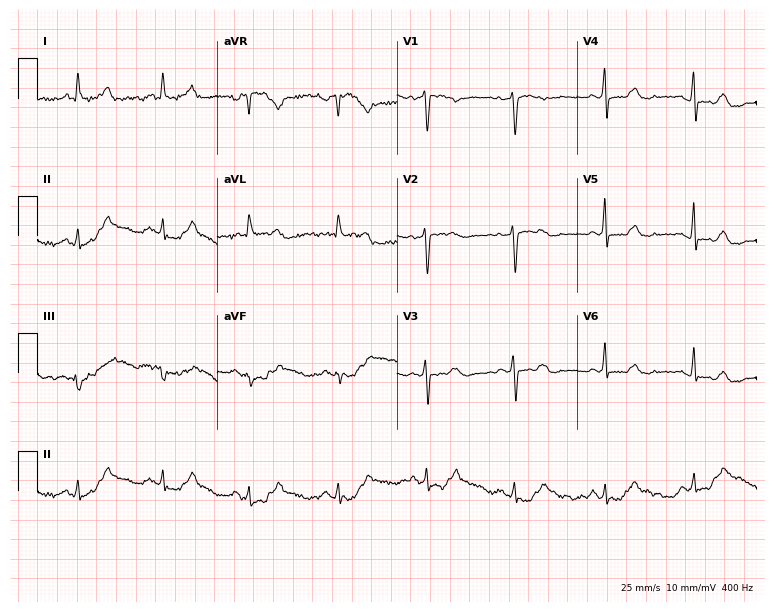
Resting 12-lead electrocardiogram. Patient: a male, 61 years old. None of these six findings is recorded: first-degree AV block, right bundle branch block, left bundle branch block, sinus bradycardia, atrial fibrillation, sinus tachycardia.